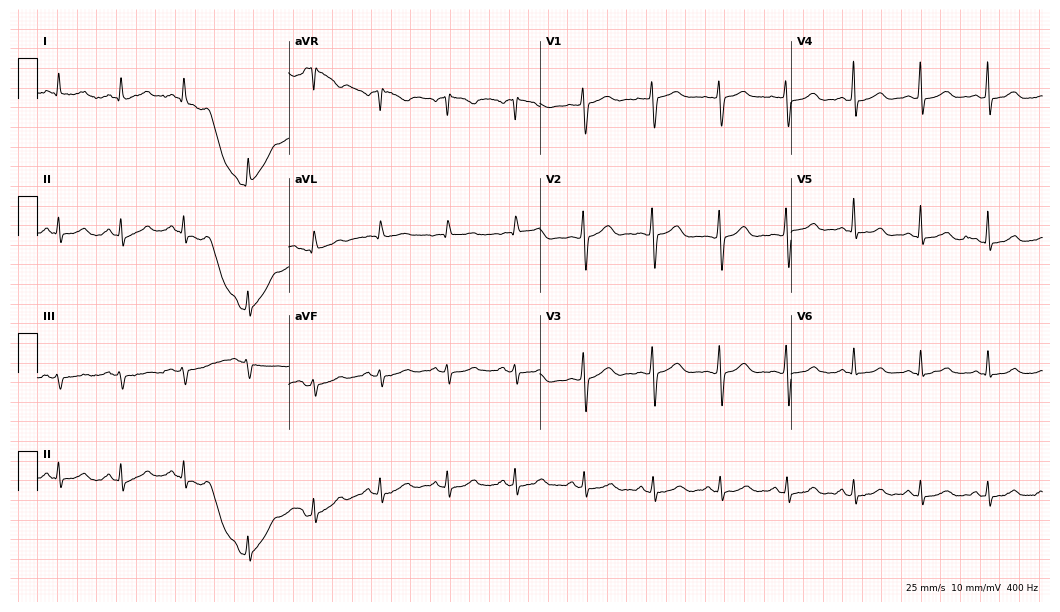
ECG — a female patient, 50 years old. Labelled as a normal ECG.